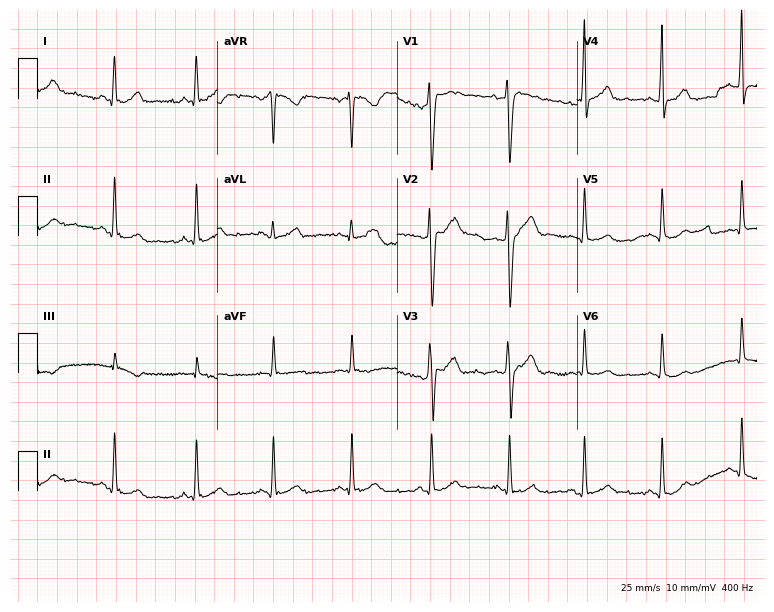
12-lead ECG from a 25-year-old male. No first-degree AV block, right bundle branch block (RBBB), left bundle branch block (LBBB), sinus bradycardia, atrial fibrillation (AF) or sinus tachycardia recorded for this tracing.